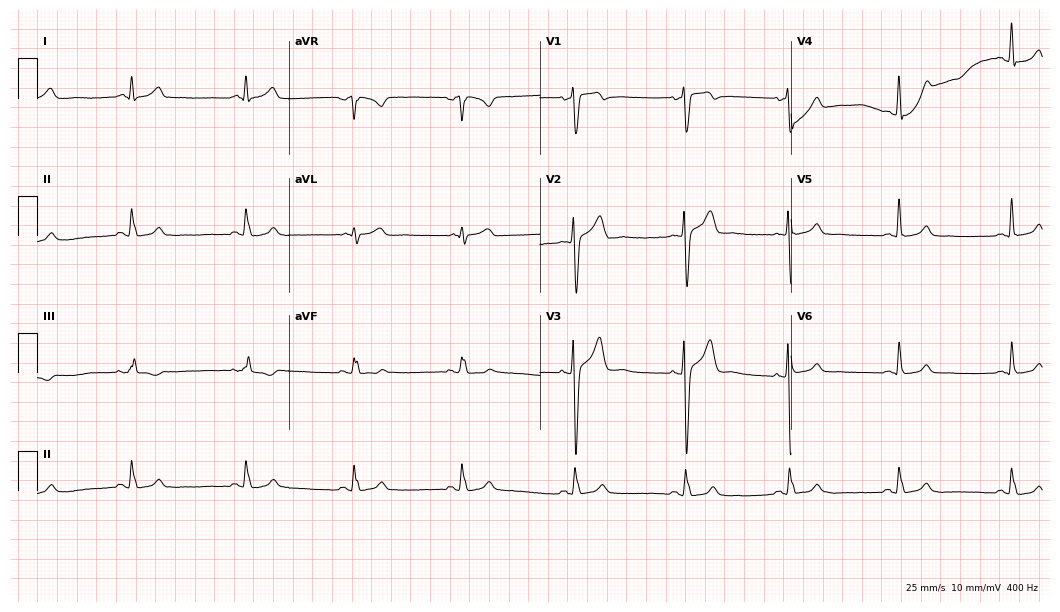
Electrocardiogram, a male patient, 35 years old. Overall reading on record: normal ECG.